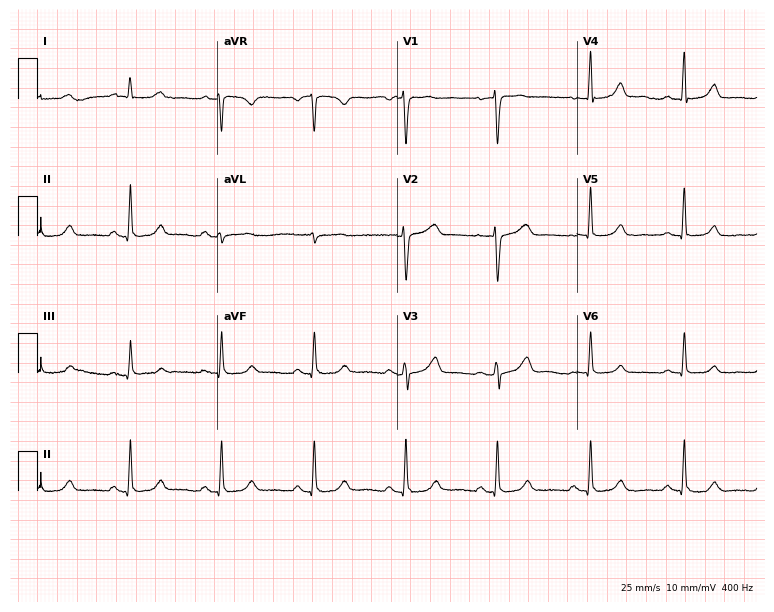
Resting 12-lead electrocardiogram (7.3-second recording at 400 Hz). Patient: a woman, 49 years old. None of these six findings is recorded: first-degree AV block, right bundle branch block, left bundle branch block, sinus bradycardia, atrial fibrillation, sinus tachycardia.